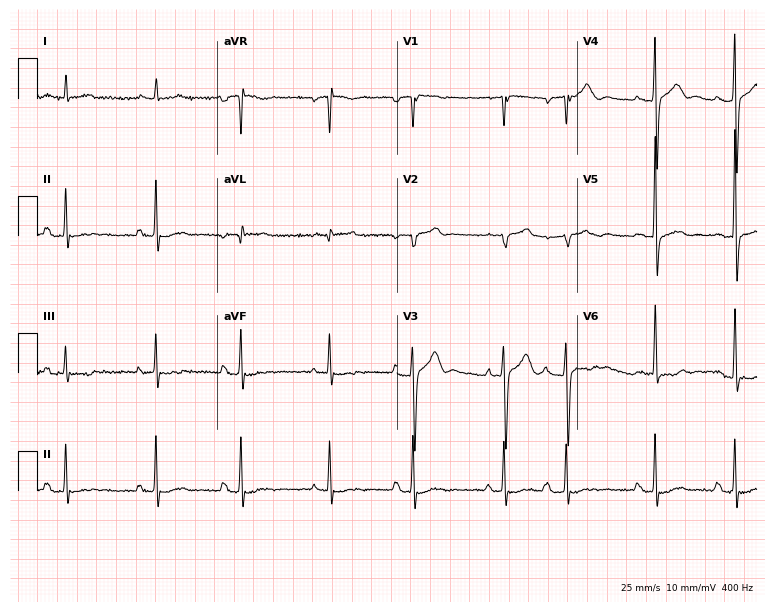
12-lead ECG from a 73-year-old male patient. Screened for six findings — first-degree AV block, right bundle branch block, left bundle branch block, sinus bradycardia, atrial fibrillation, sinus tachycardia — none is recorded. Findings outside these six are not listed.